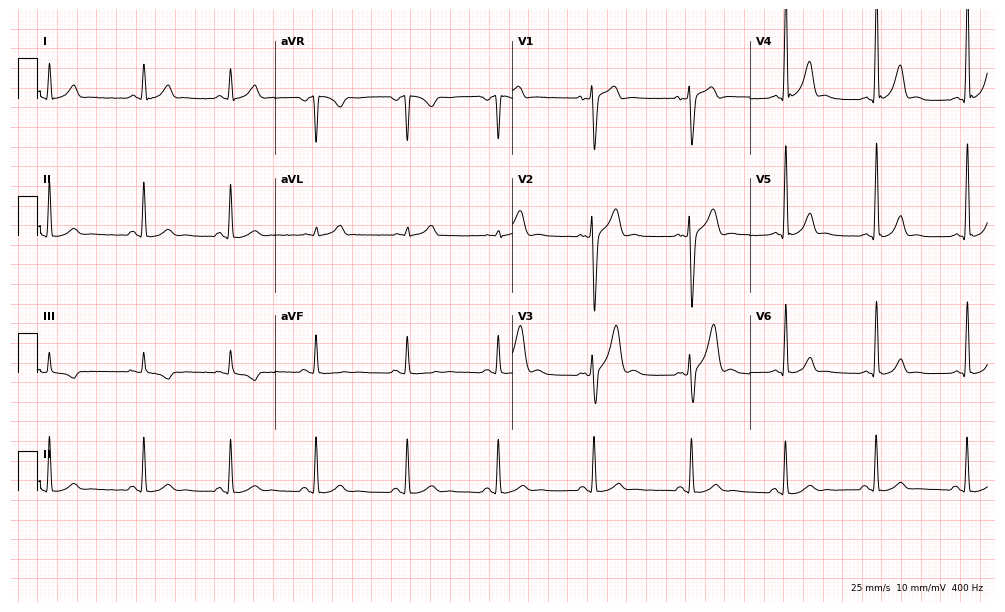
ECG — a male patient, 27 years old. Labelled as a normal ECG.